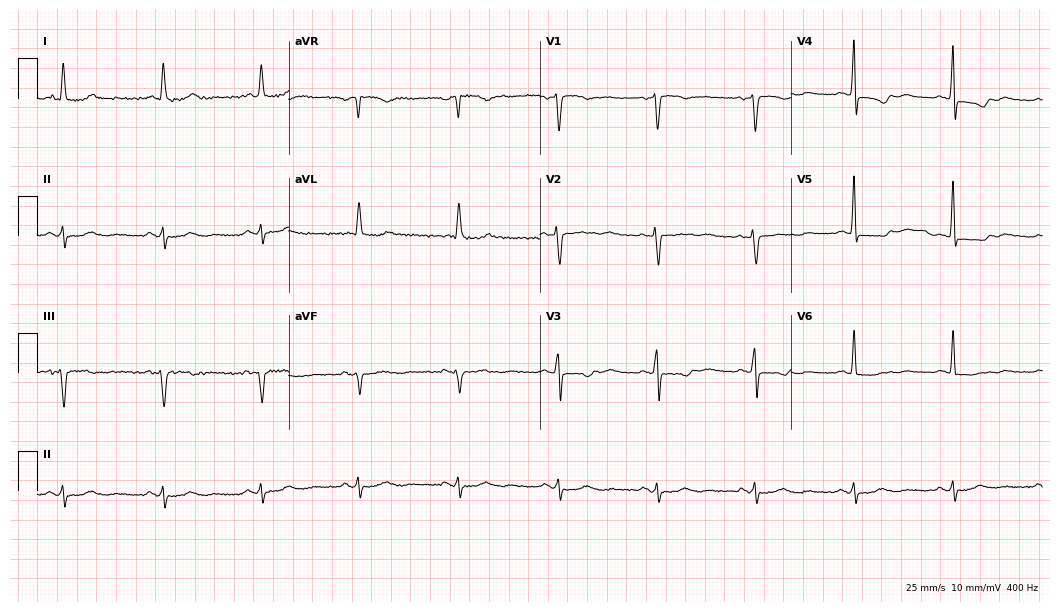
12-lead ECG from a 74-year-old female patient. Screened for six findings — first-degree AV block, right bundle branch block, left bundle branch block, sinus bradycardia, atrial fibrillation, sinus tachycardia — none is recorded. Only these six findings were labelled.